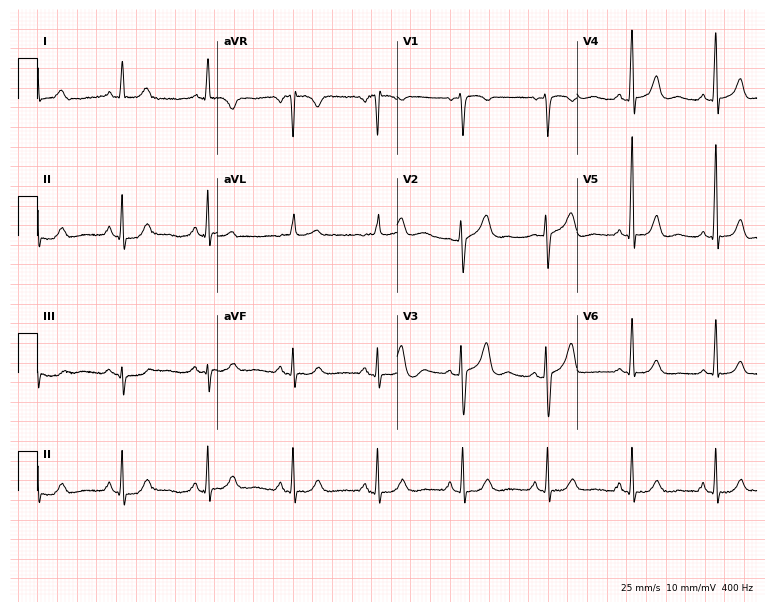
ECG (7.3-second recording at 400 Hz) — a female, 76 years old. Screened for six findings — first-degree AV block, right bundle branch block, left bundle branch block, sinus bradycardia, atrial fibrillation, sinus tachycardia — none is recorded.